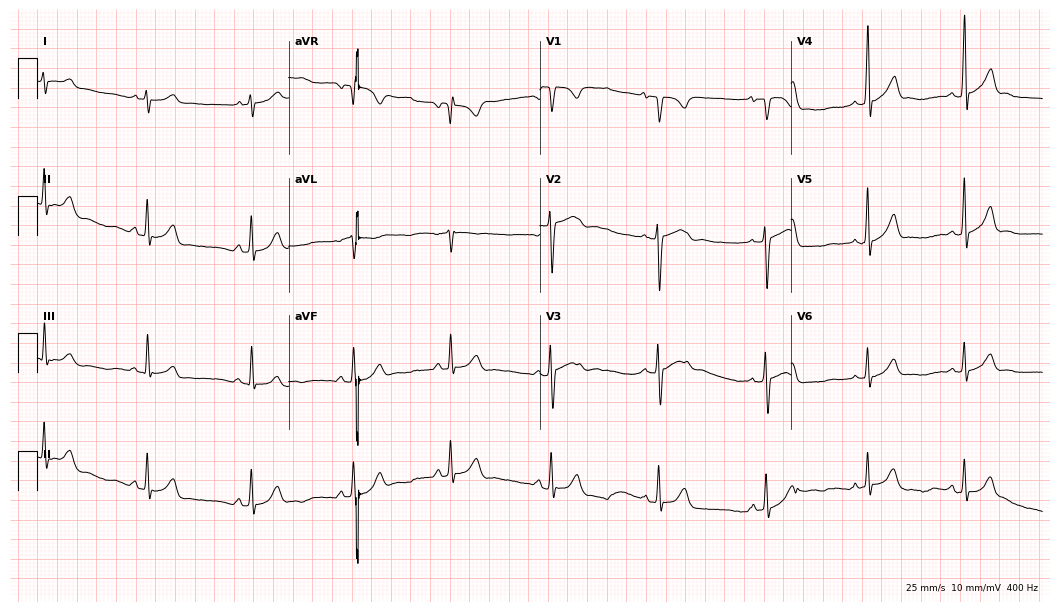
Standard 12-lead ECG recorded from a 20-year-old male. None of these six findings is recorded: first-degree AV block, right bundle branch block (RBBB), left bundle branch block (LBBB), sinus bradycardia, atrial fibrillation (AF), sinus tachycardia.